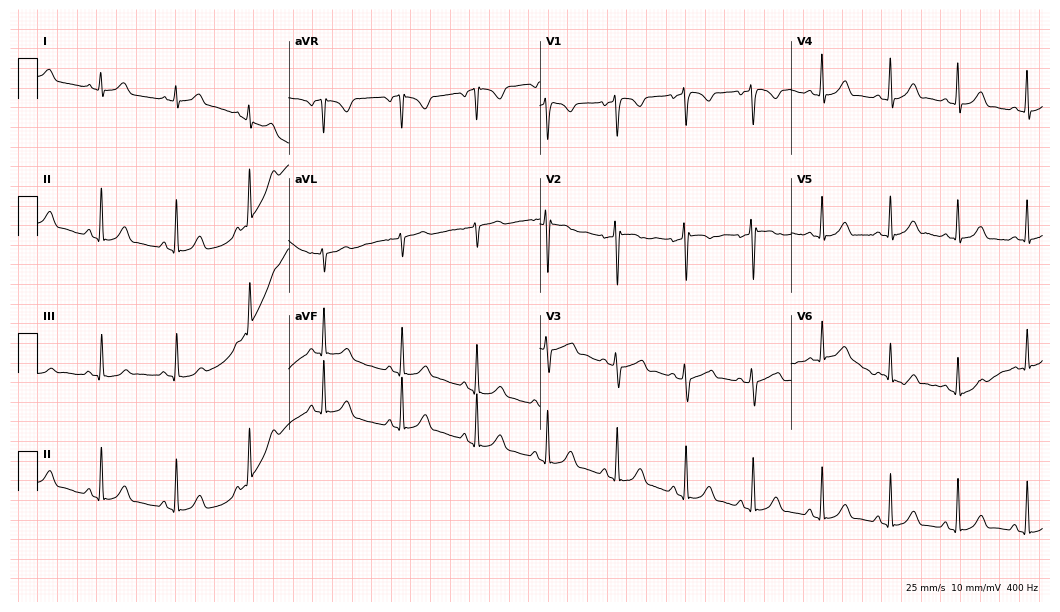
ECG — a female patient, 22 years old. Screened for six findings — first-degree AV block, right bundle branch block (RBBB), left bundle branch block (LBBB), sinus bradycardia, atrial fibrillation (AF), sinus tachycardia — none is recorded. Other findings, if any, are not listed.